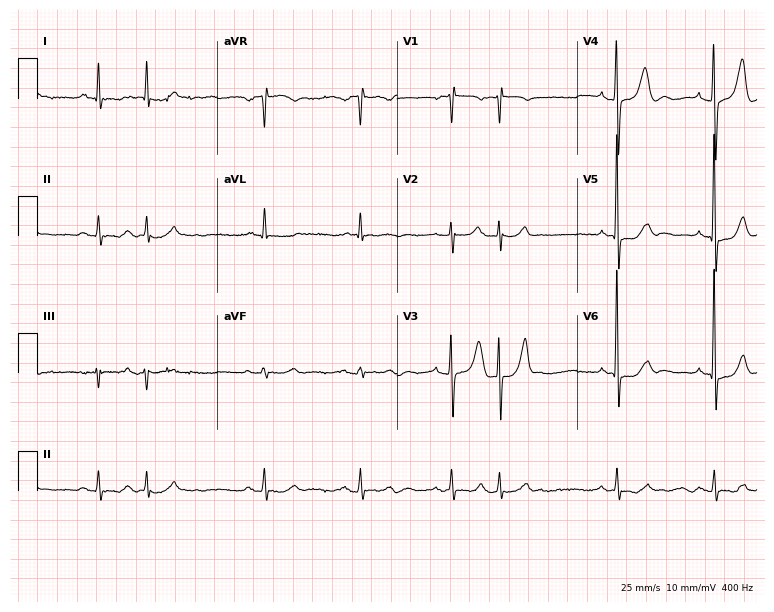
12-lead ECG from a man, 79 years old. No first-degree AV block, right bundle branch block (RBBB), left bundle branch block (LBBB), sinus bradycardia, atrial fibrillation (AF) or sinus tachycardia recorded for this tracing. Other findings, if any, are not listed.